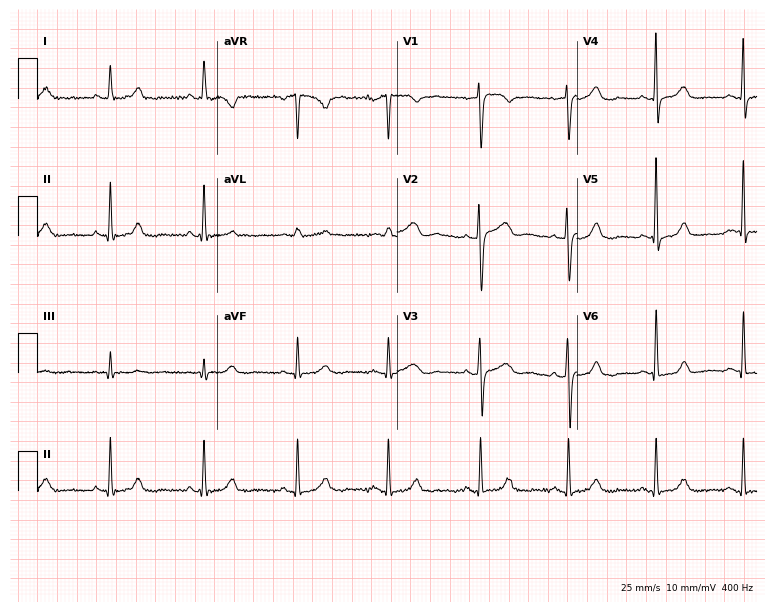
ECG (7.3-second recording at 400 Hz) — a woman, 51 years old. Labelled as a normal ECG.